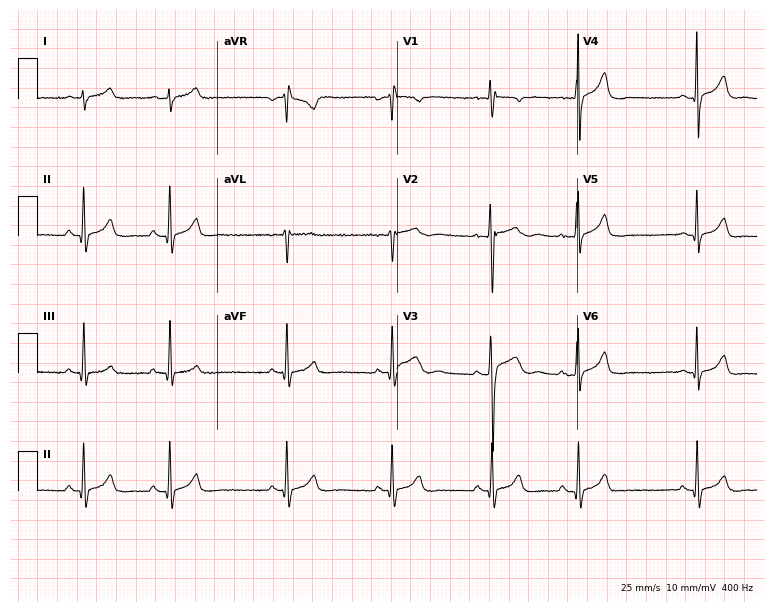
Resting 12-lead electrocardiogram (7.3-second recording at 400 Hz). Patient: a 19-year-old male. None of these six findings is recorded: first-degree AV block, right bundle branch block, left bundle branch block, sinus bradycardia, atrial fibrillation, sinus tachycardia.